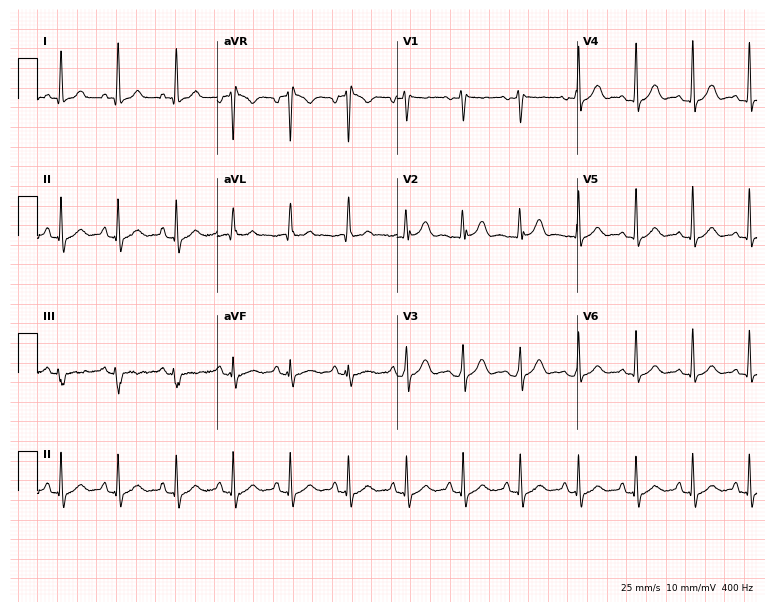
Resting 12-lead electrocardiogram (7.3-second recording at 400 Hz). Patient: a female, 41 years old. None of these six findings is recorded: first-degree AV block, right bundle branch block, left bundle branch block, sinus bradycardia, atrial fibrillation, sinus tachycardia. Only these six findings were labelled.